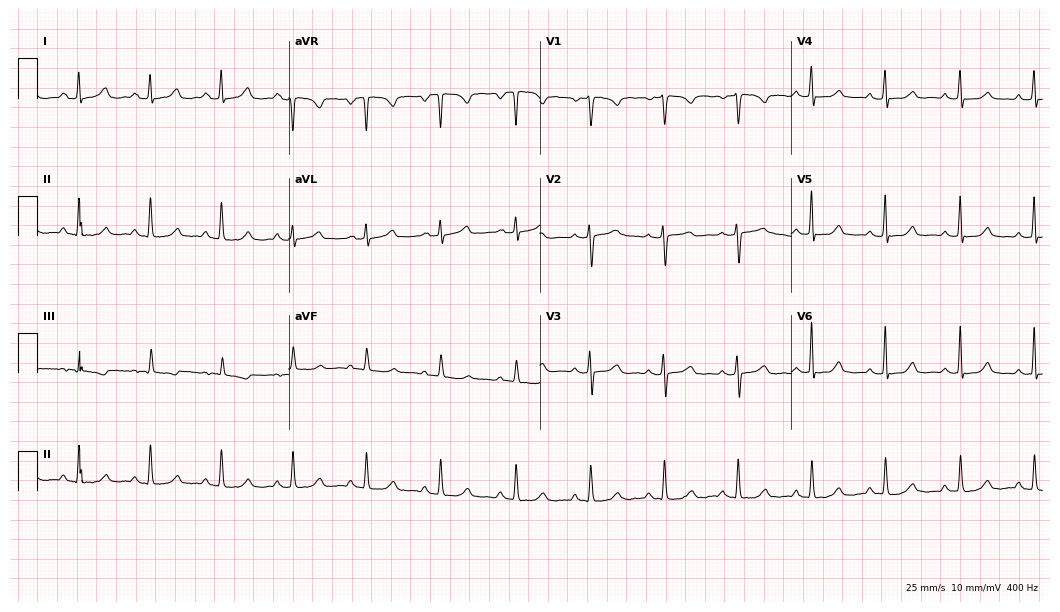
Standard 12-lead ECG recorded from a female patient, 49 years old (10.2-second recording at 400 Hz). None of these six findings is recorded: first-degree AV block, right bundle branch block (RBBB), left bundle branch block (LBBB), sinus bradycardia, atrial fibrillation (AF), sinus tachycardia. Other findings, if any, are not listed.